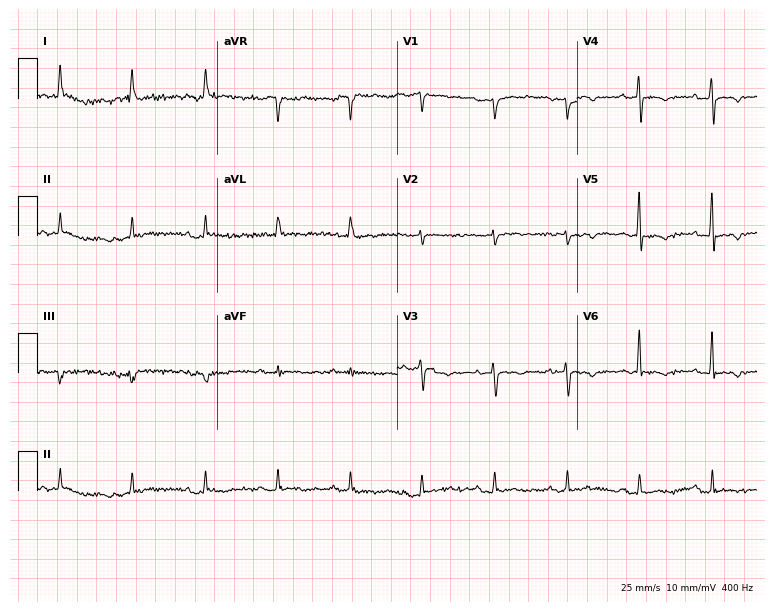
Standard 12-lead ECG recorded from a 75-year-old woman (7.3-second recording at 400 Hz). None of these six findings is recorded: first-degree AV block, right bundle branch block (RBBB), left bundle branch block (LBBB), sinus bradycardia, atrial fibrillation (AF), sinus tachycardia. Only these six findings were labelled.